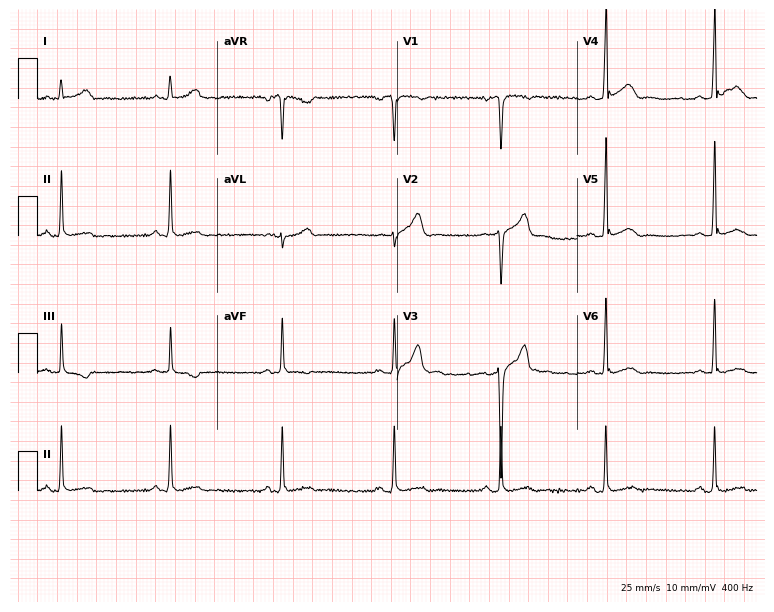
12-lead ECG (7.3-second recording at 400 Hz) from a male patient, 38 years old. Labelled as a normal ECG.